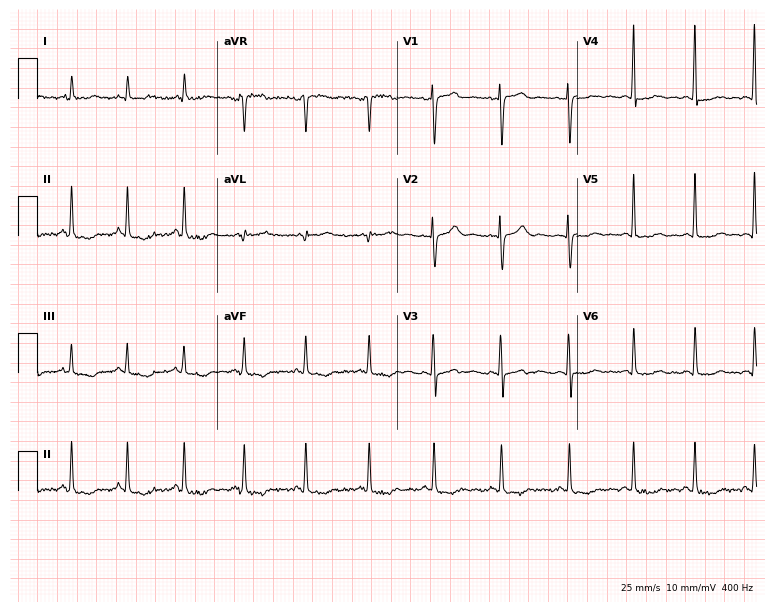
Standard 12-lead ECG recorded from a female, 48 years old (7.3-second recording at 400 Hz). None of these six findings is recorded: first-degree AV block, right bundle branch block, left bundle branch block, sinus bradycardia, atrial fibrillation, sinus tachycardia.